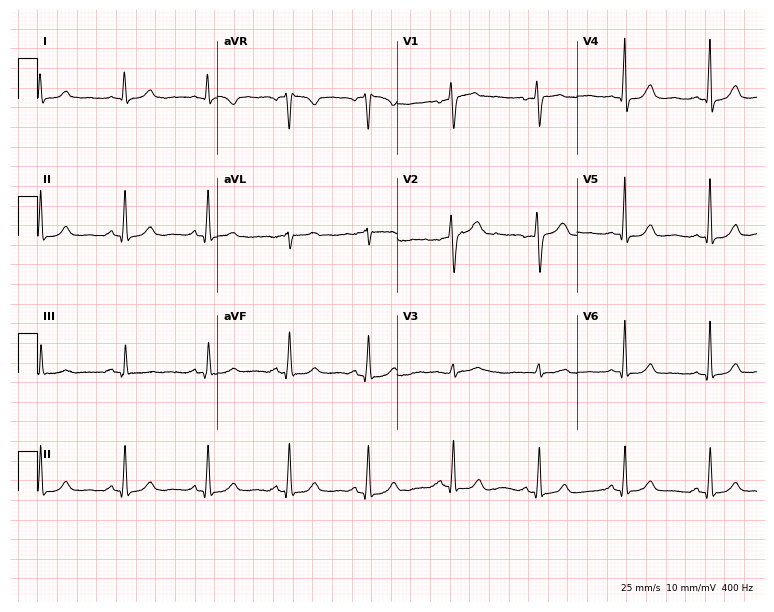
Standard 12-lead ECG recorded from a female patient, 48 years old (7.3-second recording at 400 Hz). None of these six findings is recorded: first-degree AV block, right bundle branch block (RBBB), left bundle branch block (LBBB), sinus bradycardia, atrial fibrillation (AF), sinus tachycardia. Findings outside these six are not listed.